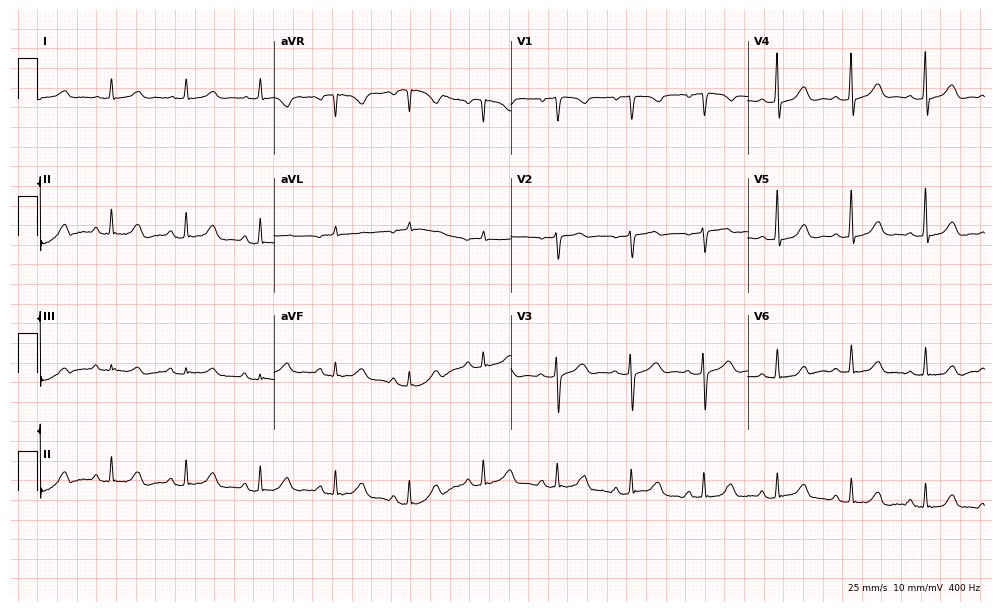
Standard 12-lead ECG recorded from a 77-year-old female. Read as a normal ECG.